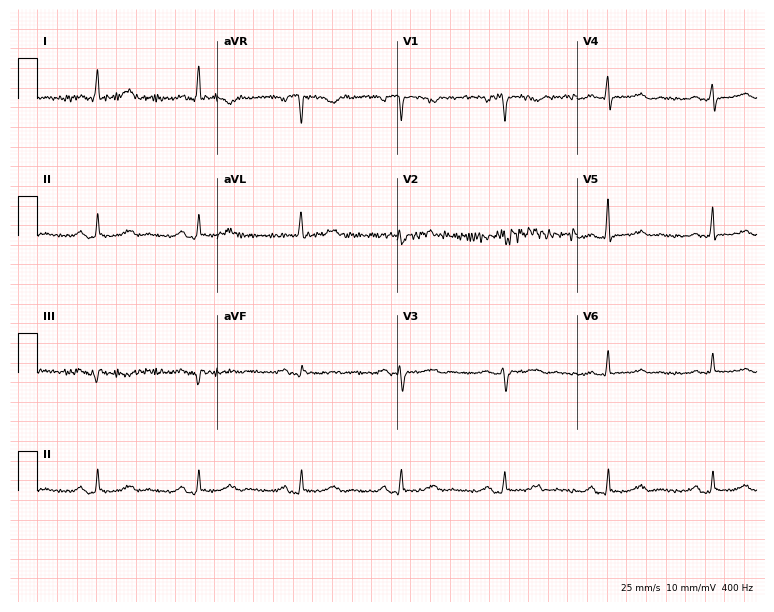
12-lead ECG (7.3-second recording at 400 Hz) from a 59-year-old woman. Screened for six findings — first-degree AV block, right bundle branch block (RBBB), left bundle branch block (LBBB), sinus bradycardia, atrial fibrillation (AF), sinus tachycardia — none is recorded. Only these six findings were labelled.